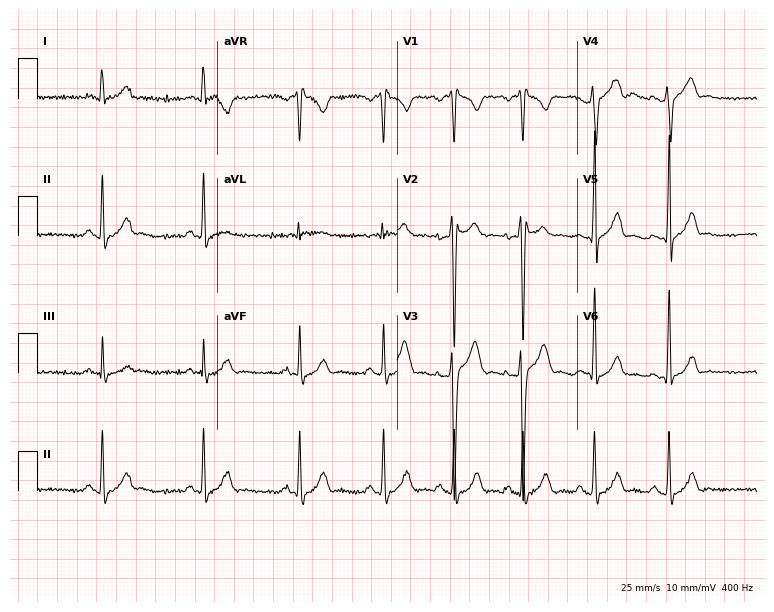
Electrocardiogram, a male, 22 years old. Of the six screened findings (first-degree AV block, right bundle branch block, left bundle branch block, sinus bradycardia, atrial fibrillation, sinus tachycardia), none is recorded.